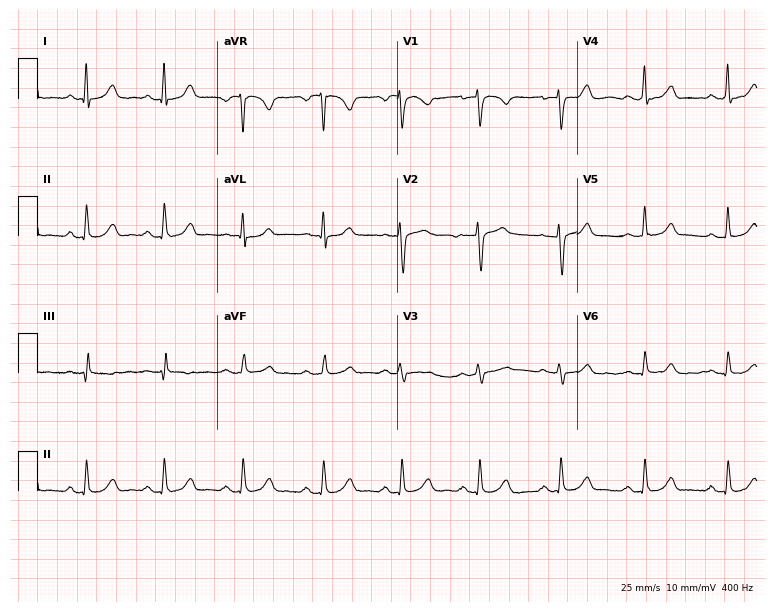
Electrocardiogram (7.3-second recording at 400 Hz), a woman, 35 years old. Of the six screened findings (first-degree AV block, right bundle branch block, left bundle branch block, sinus bradycardia, atrial fibrillation, sinus tachycardia), none is recorded.